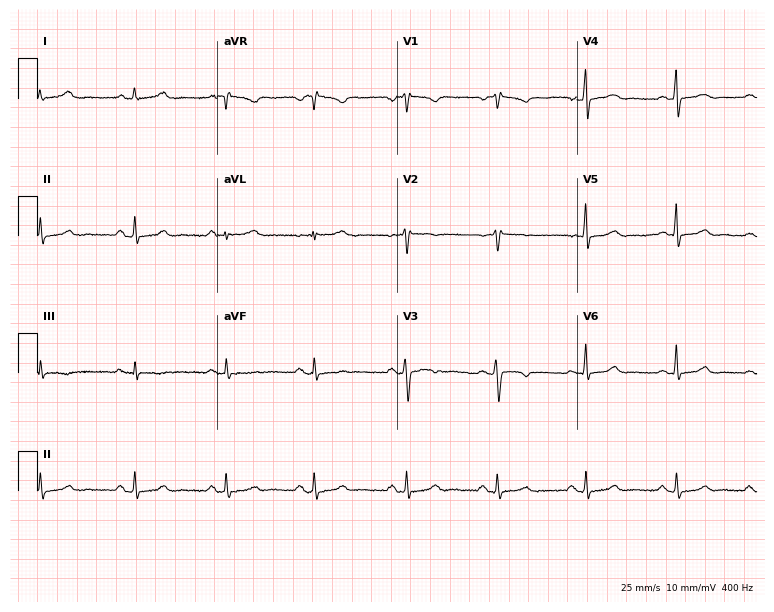
Standard 12-lead ECG recorded from a female, 38 years old (7.3-second recording at 400 Hz). None of these six findings is recorded: first-degree AV block, right bundle branch block (RBBB), left bundle branch block (LBBB), sinus bradycardia, atrial fibrillation (AF), sinus tachycardia.